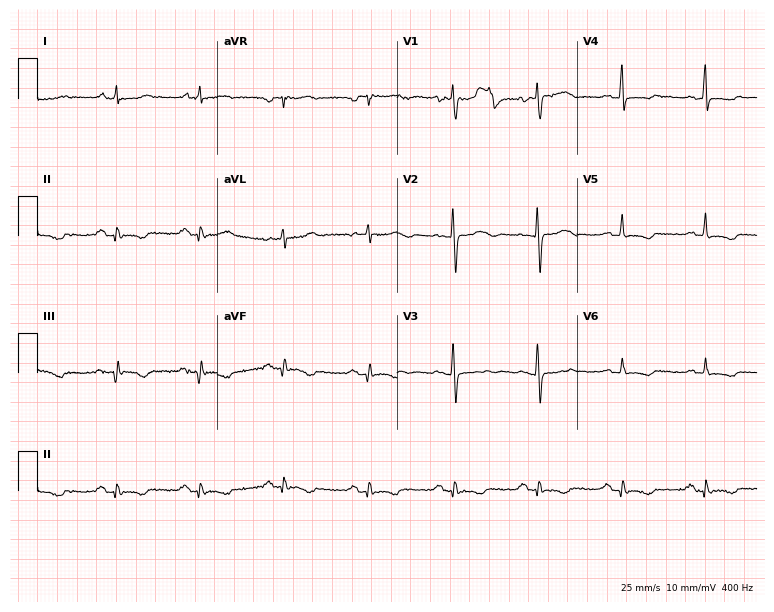
ECG (7.3-second recording at 400 Hz) — a female, 67 years old. Screened for six findings — first-degree AV block, right bundle branch block, left bundle branch block, sinus bradycardia, atrial fibrillation, sinus tachycardia — none is recorded.